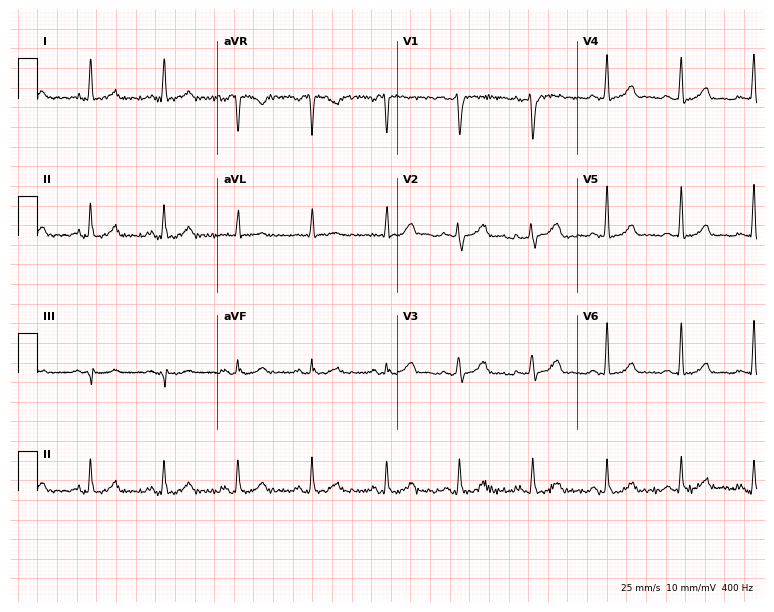
Resting 12-lead electrocardiogram (7.3-second recording at 400 Hz). Patient: a 53-year-old female. None of these six findings is recorded: first-degree AV block, right bundle branch block, left bundle branch block, sinus bradycardia, atrial fibrillation, sinus tachycardia. Other findings, if any, are not listed.